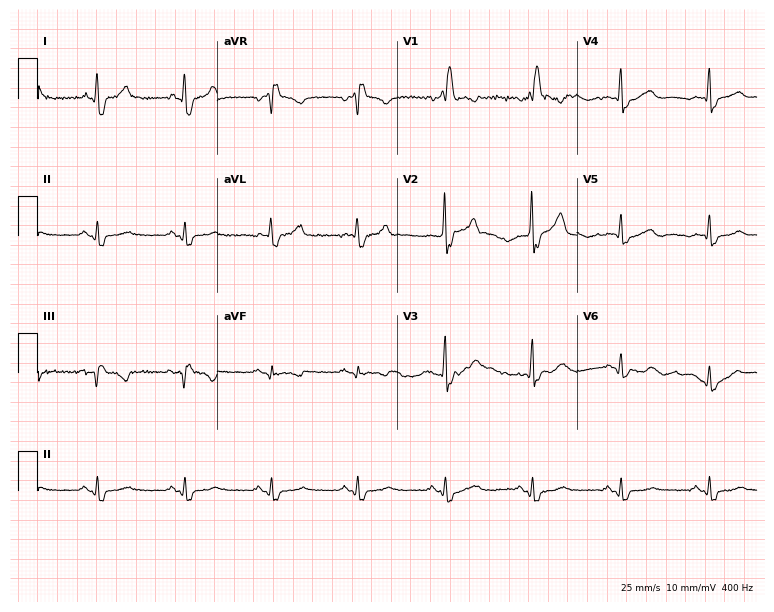
12-lead ECG (7.3-second recording at 400 Hz) from a 57-year-old male patient. Findings include right bundle branch block (RBBB).